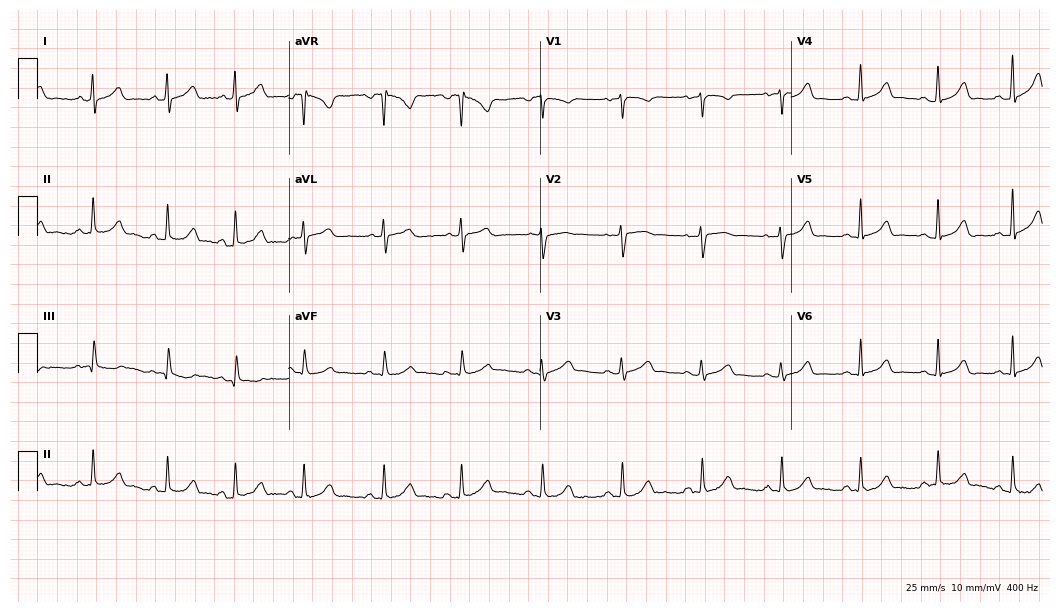
12-lead ECG from a female patient, 39 years old. Labelled as a normal ECG.